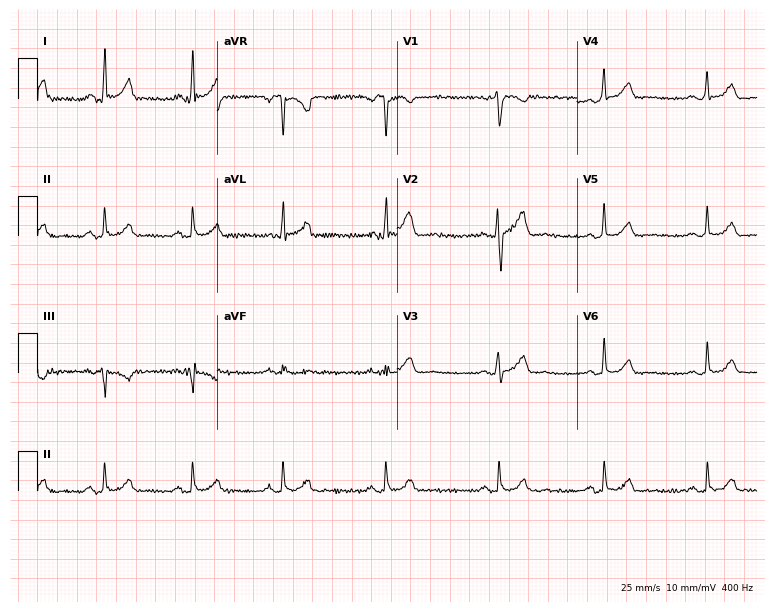
Standard 12-lead ECG recorded from a man, 38 years old (7.3-second recording at 400 Hz). Read as a normal ECG.